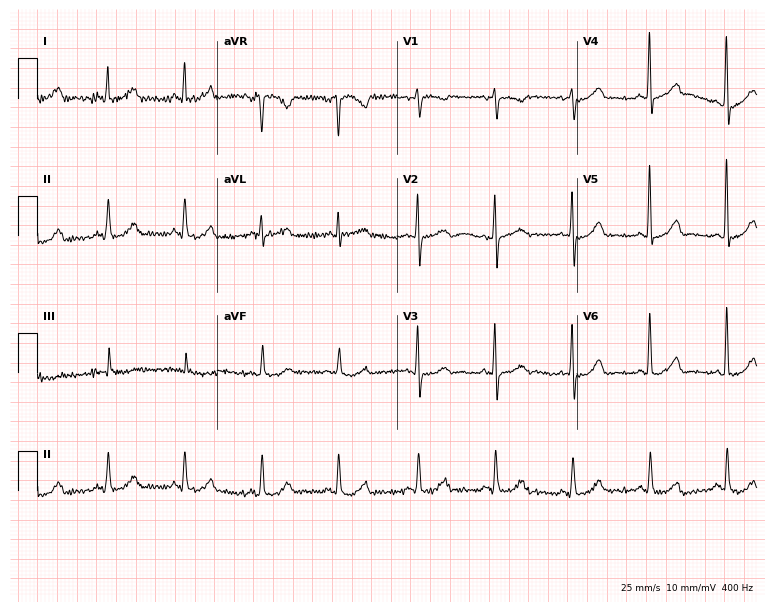
Standard 12-lead ECG recorded from a 74-year-old female patient. None of these six findings is recorded: first-degree AV block, right bundle branch block, left bundle branch block, sinus bradycardia, atrial fibrillation, sinus tachycardia. Other findings, if any, are not listed.